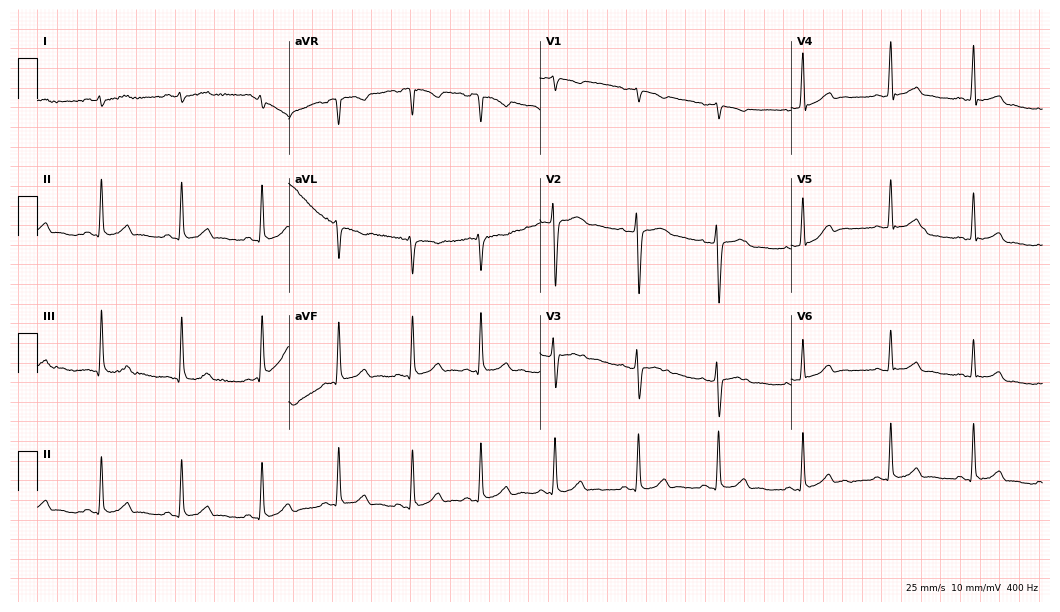
Electrocardiogram, a 27-year-old woman. Overall reading on record: normal ECG.